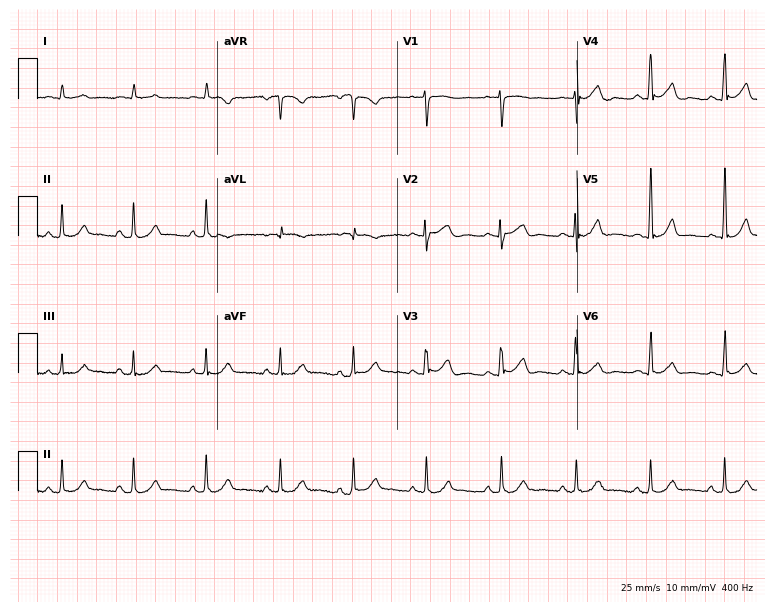
ECG — an 80-year-old man. Labelled as a normal ECG.